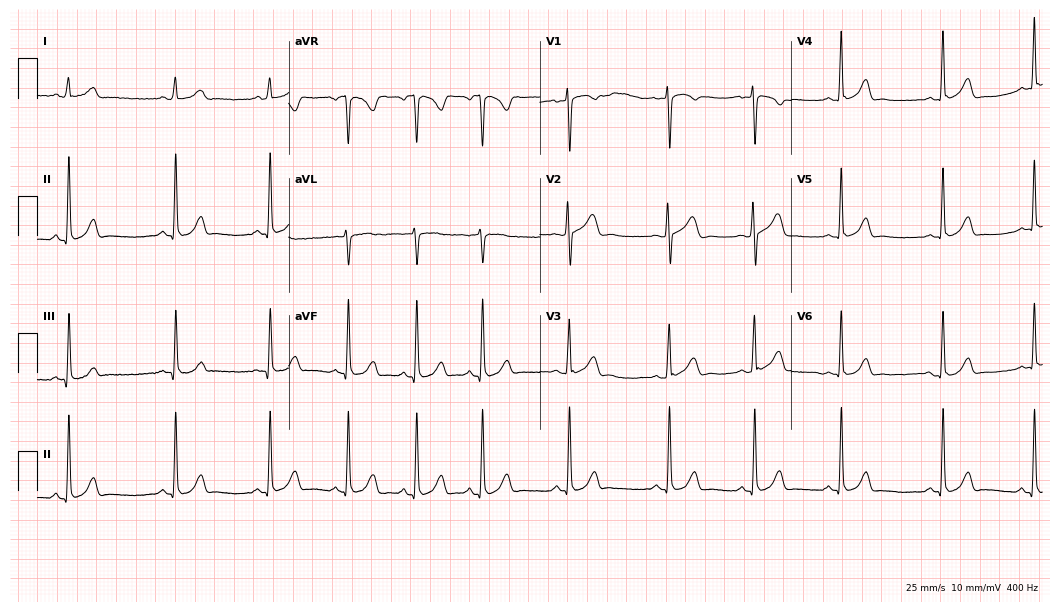
Resting 12-lead electrocardiogram (10.2-second recording at 400 Hz). Patient: a female, 20 years old. Read as a normal ECG.